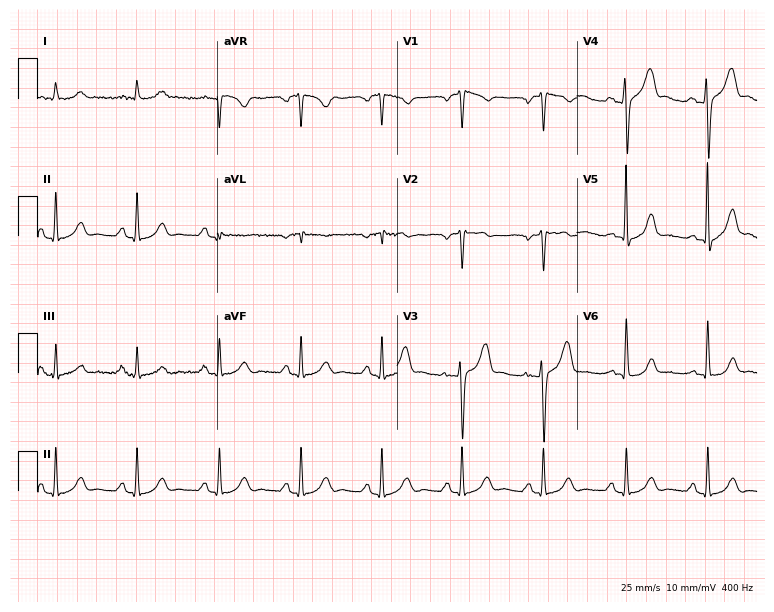
12-lead ECG from a 73-year-old male. Labelled as a normal ECG.